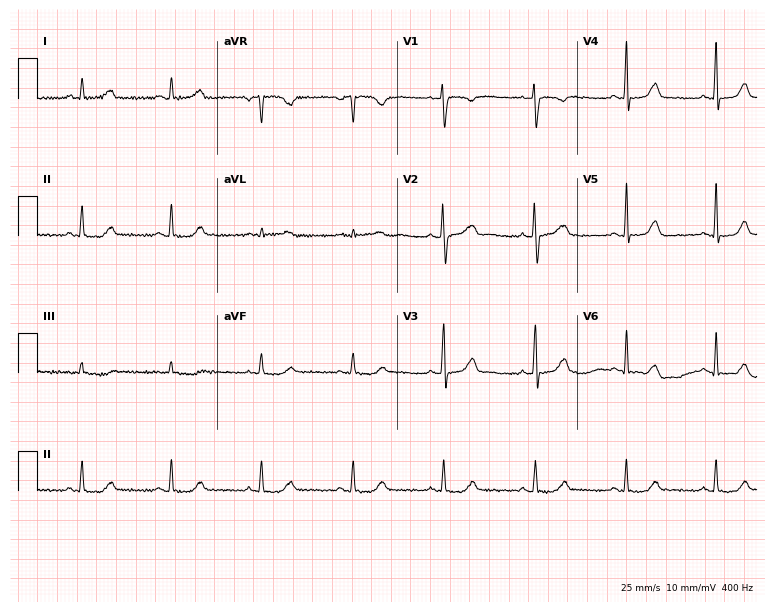
12-lead ECG (7.3-second recording at 400 Hz) from a 36-year-old woman. Screened for six findings — first-degree AV block, right bundle branch block, left bundle branch block, sinus bradycardia, atrial fibrillation, sinus tachycardia — none is recorded.